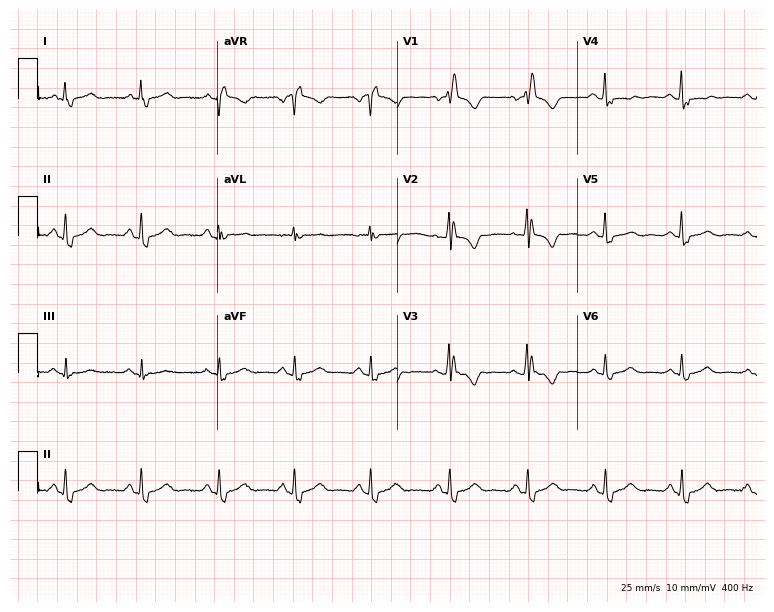
12-lead ECG from a female patient, 57 years old (7.3-second recording at 400 Hz). Shows right bundle branch block (RBBB).